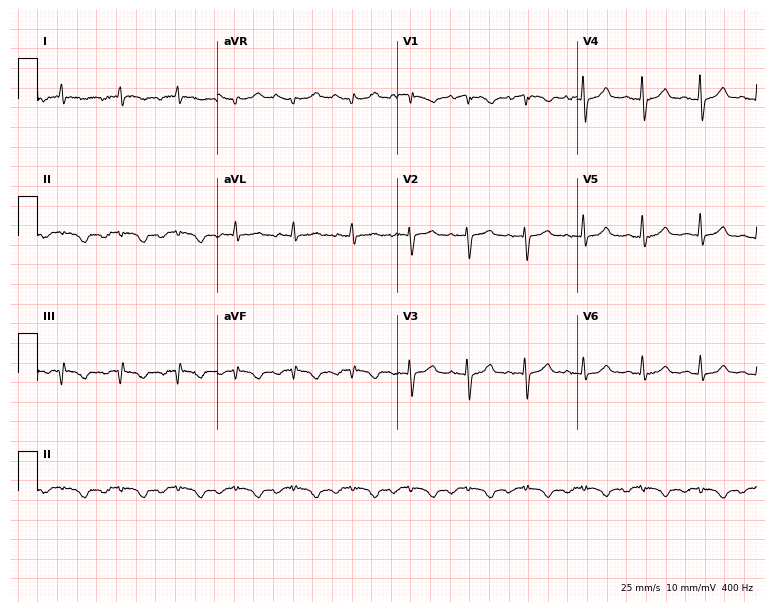
ECG — a 68-year-old male. Screened for six findings — first-degree AV block, right bundle branch block, left bundle branch block, sinus bradycardia, atrial fibrillation, sinus tachycardia — none is recorded. Only these six findings were labelled.